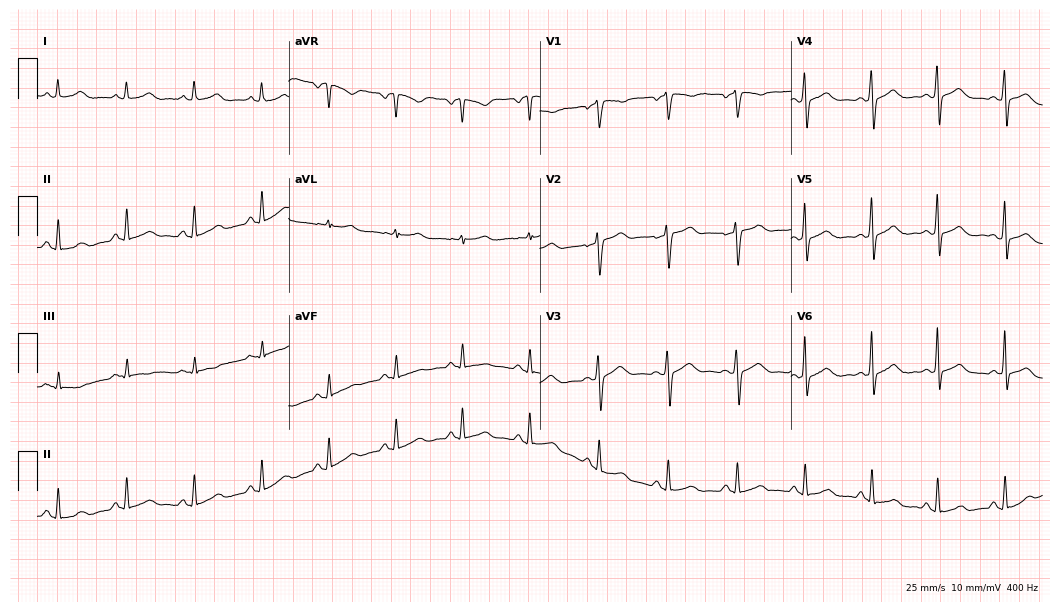
ECG (10.2-second recording at 400 Hz) — a female, 33 years old. Labelled as a normal ECG.